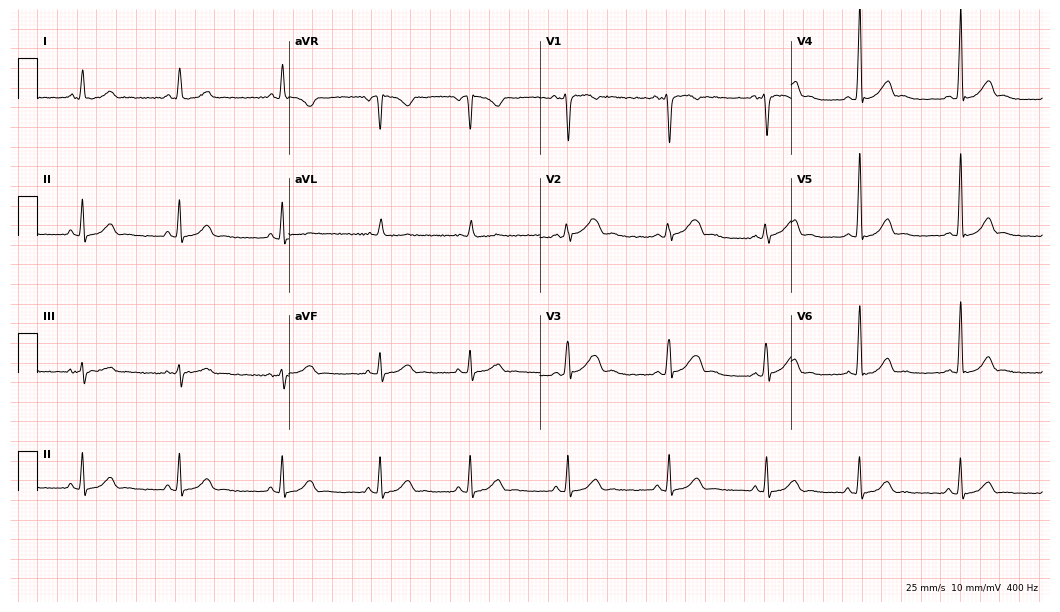
Standard 12-lead ECG recorded from a 29-year-old man (10.2-second recording at 400 Hz). Read as a normal ECG.